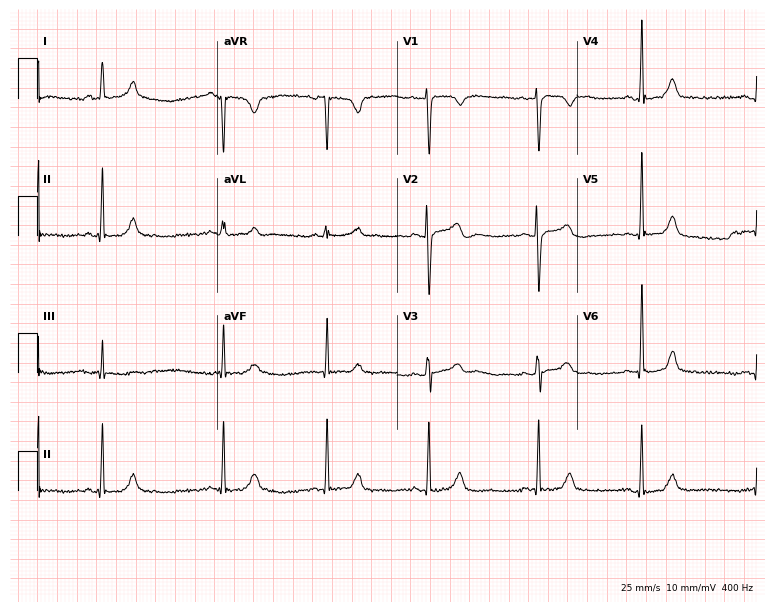
ECG — a 26-year-old female. Screened for six findings — first-degree AV block, right bundle branch block (RBBB), left bundle branch block (LBBB), sinus bradycardia, atrial fibrillation (AF), sinus tachycardia — none is recorded. Only these six findings were labelled.